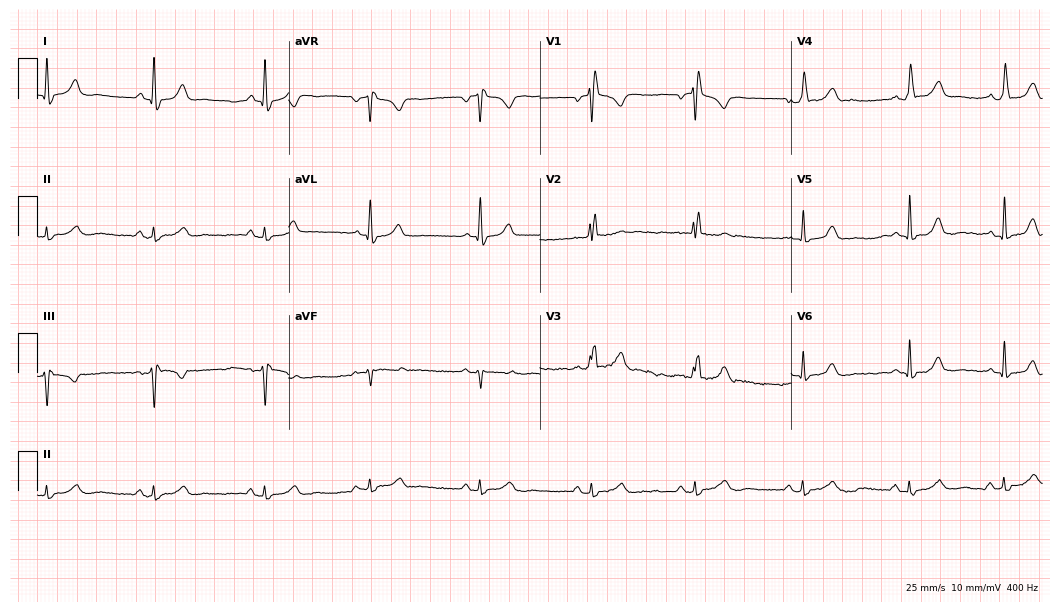
Electrocardiogram, a 24-year-old female patient. Of the six screened findings (first-degree AV block, right bundle branch block (RBBB), left bundle branch block (LBBB), sinus bradycardia, atrial fibrillation (AF), sinus tachycardia), none is recorded. Findings outside these six are not listed.